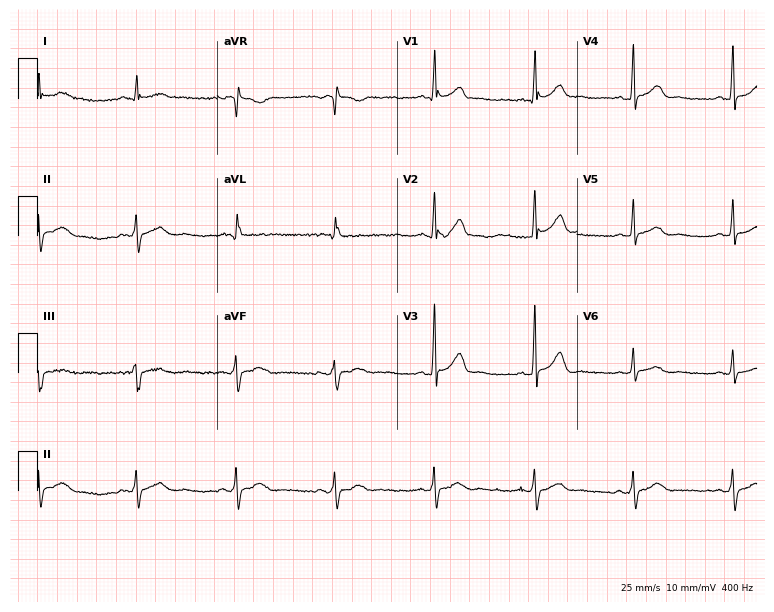
Resting 12-lead electrocardiogram. Patient: a man, 65 years old. None of these six findings is recorded: first-degree AV block, right bundle branch block, left bundle branch block, sinus bradycardia, atrial fibrillation, sinus tachycardia.